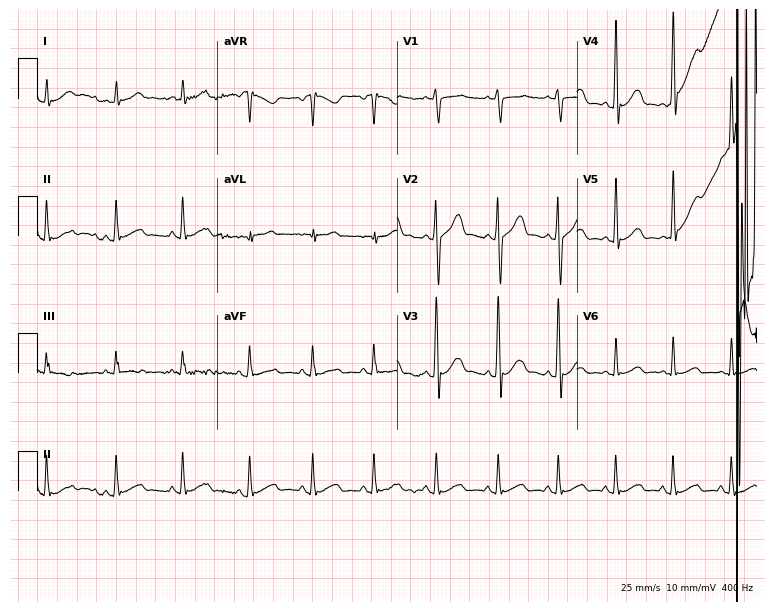
Standard 12-lead ECG recorded from a male patient, 24 years old. Read as a normal ECG.